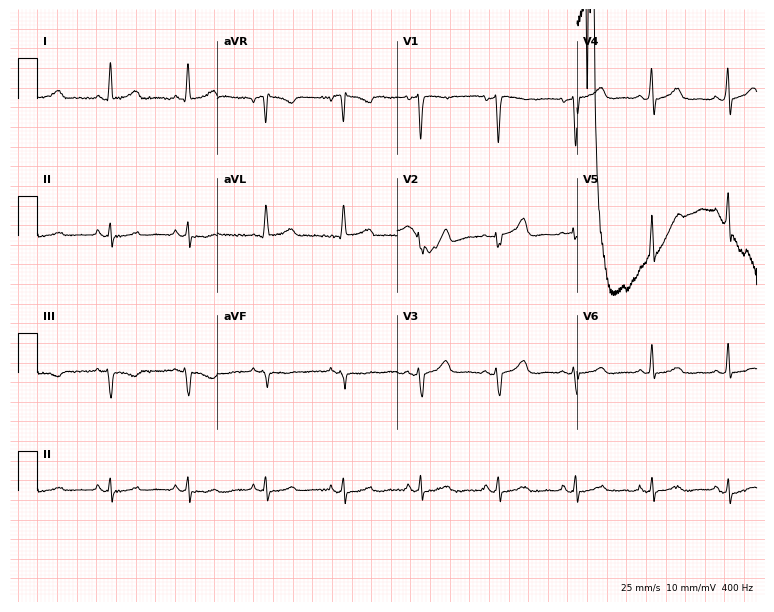
Electrocardiogram (7.3-second recording at 400 Hz), a 55-year-old female patient. Of the six screened findings (first-degree AV block, right bundle branch block (RBBB), left bundle branch block (LBBB), sinus bradycardia, atrial fibrillation (AF), sinus tachycardia), none is recorded. Findings outside these six are not listed.